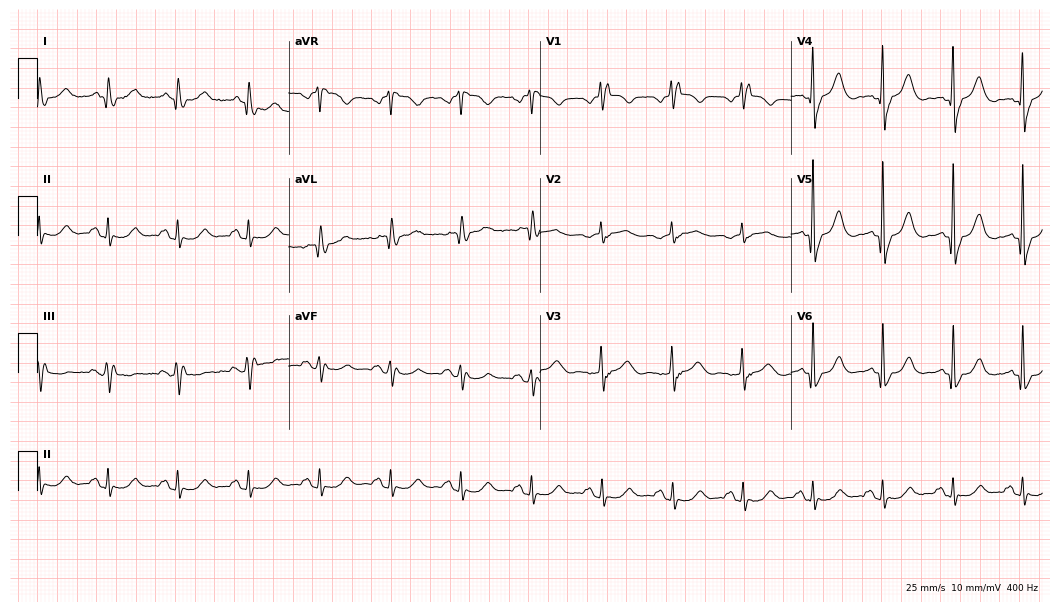
12-lead ECG from a 78-year-old female patient. No first-degree AV block, right bundle branch block, left bundle branch block, sinus bradycardia, atrial fibrillation or sinus tachycardia recorded for this tracing.